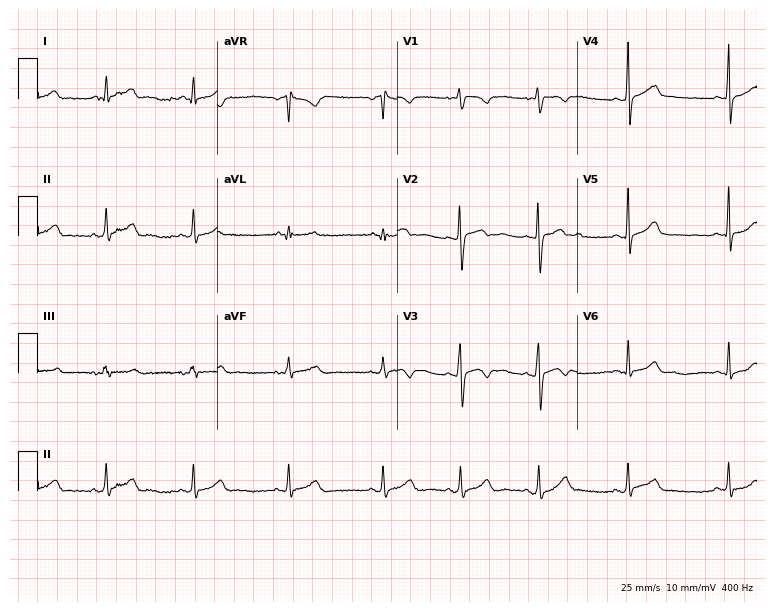
12-lead ECG from a 17-year-old female patient (7.3-second recording at 400 Hz). No first-degree AV block, right bundle branch block (RBBB), left bundle branch block (LBBB), sinus bradycardia, atrial fibrillation (AF) or sinus tachycardia recorded for this tracing.